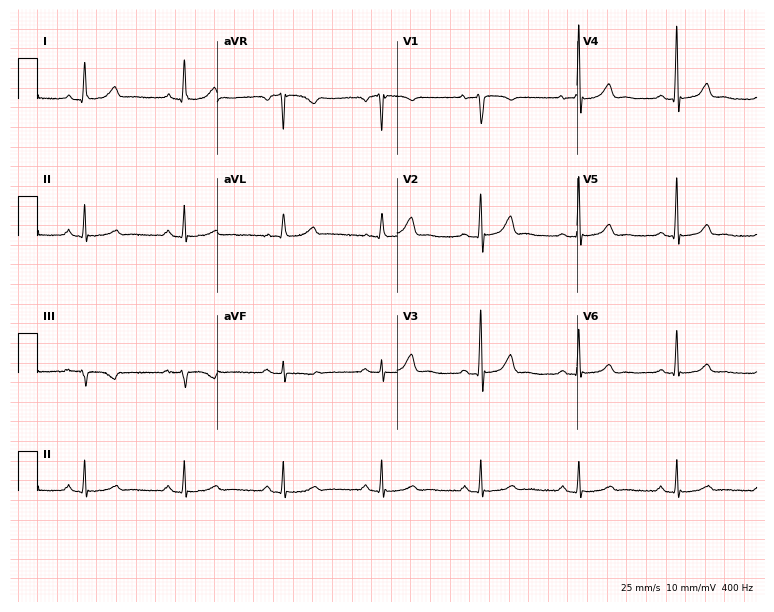
Standard 12-lead ECG recorded from a 48-year-old female patient. None of these six findings is recorded: first-degree AV block, right bundle branch block, left bundle branch block, sinus bradycardia, atrial fibrillation, sinus tachycardia. Other findings, if any, are not listed.